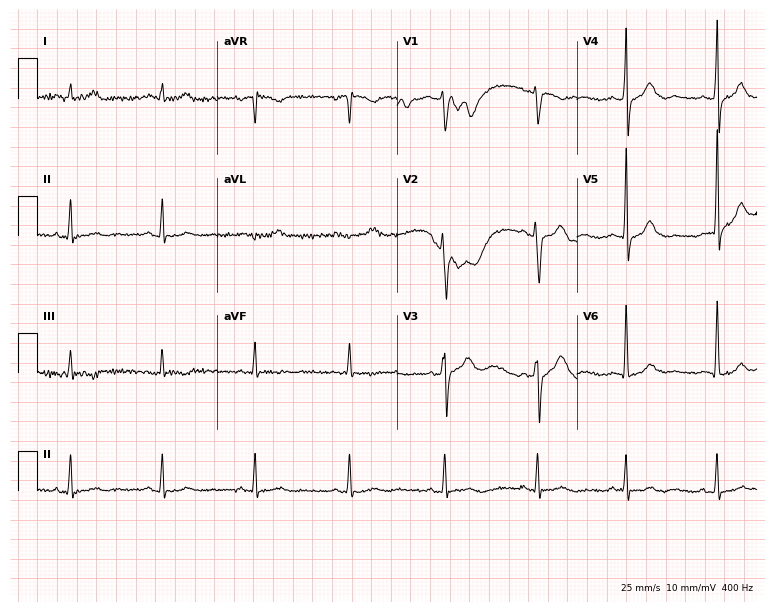
Standard 12-lead ECG recorded from a male, 48 years old (7.3-second recording at 400 Hz). None of these six findings is recorded: first-degree AV block, right bundle branch block (RBBB), left bundle branch block (LBBB), sinus bradycardia, atrial fibrillation (AF), sinus tachycardia. Only these six findings were labelled.